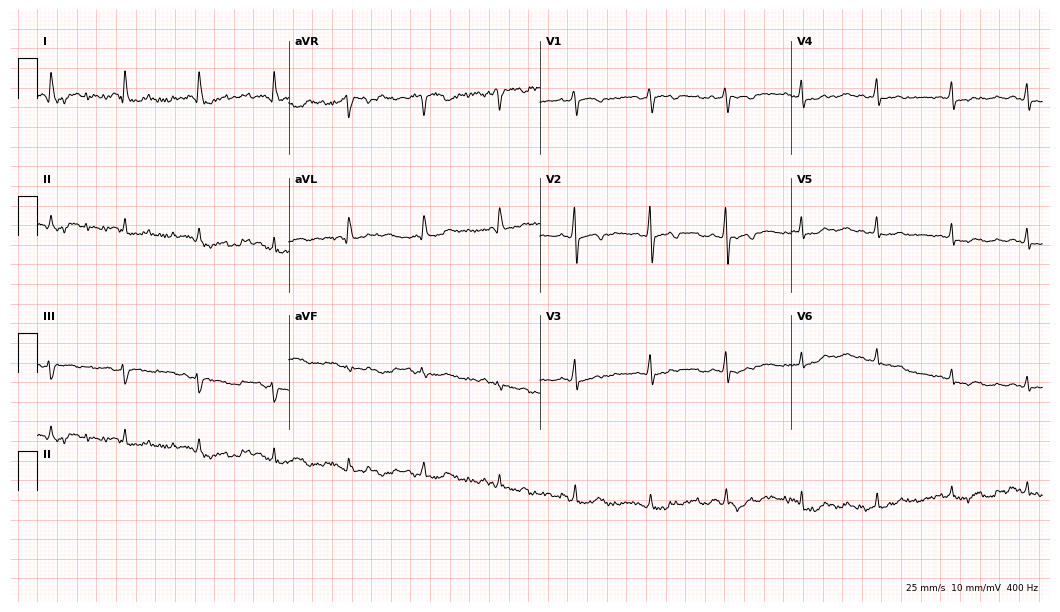
ECG — an 83-year-old woman. Screened for six findings — first-degree AV block, right bundle branch block, left bundle branch block, sinus bradycardia, atrial fibrillation, sinus tachycardia — none is recorded. Only these six findings were labelled.